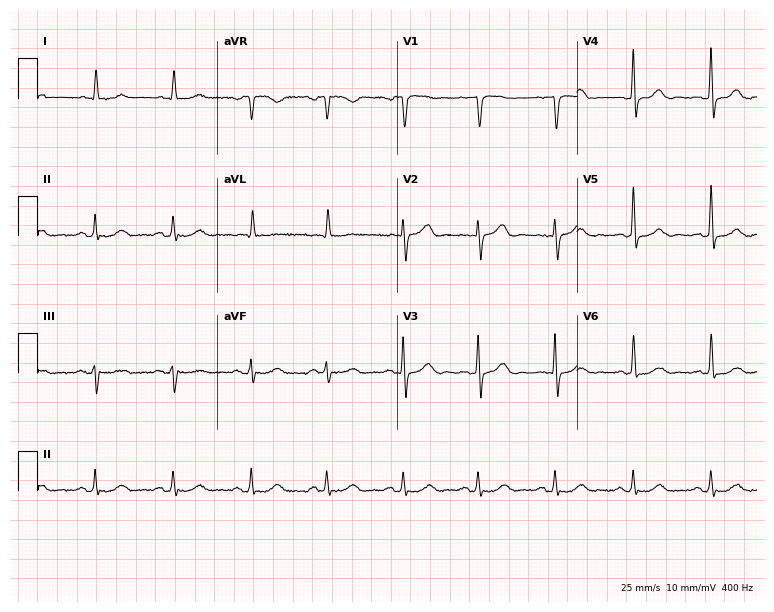
12-lead ECG (7.3-second recording at 400 Hz) from a 65-year-old male. Labelled as a normal ECG.